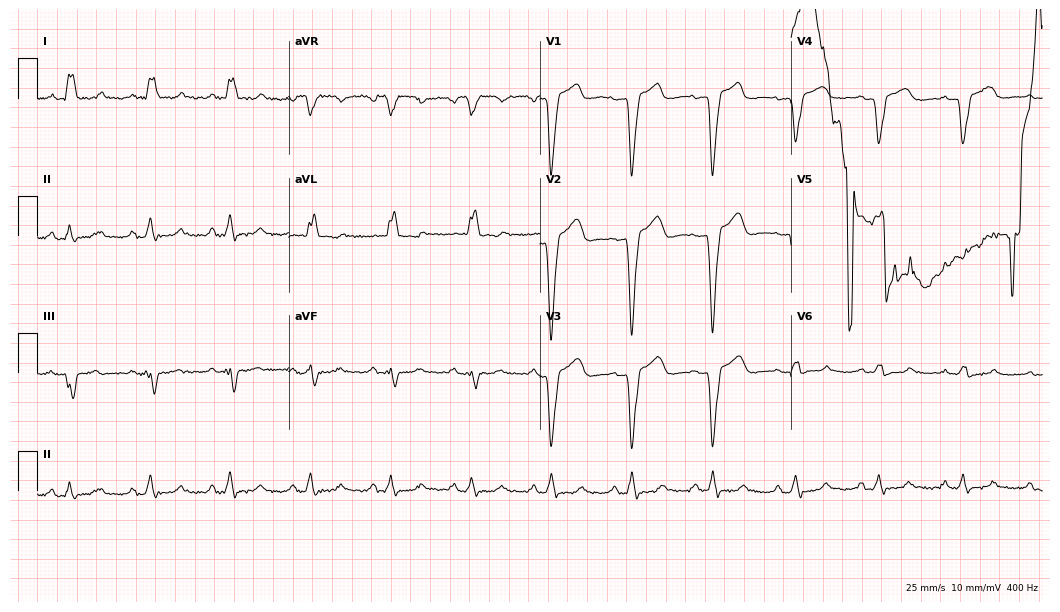
Standard 12-lead ECG recorded from a 58-year-old woman (10.2-second recording at 400 Hz). None of these six findings is recorded: first-degree AV block, right bundle branch block (RBBB), left bundle branch block (LBBB), sinus bradycardia, atrial fibrillation (AF), sinus tachycardia. Findings outside these six are not listed.